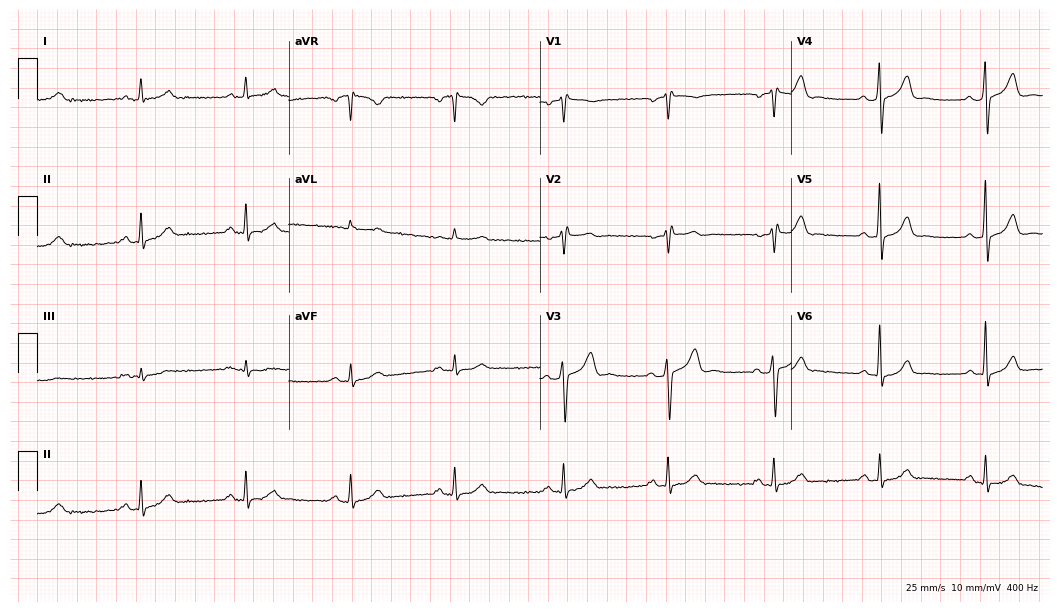
ECG — a 65-year-old man. Labelled as a normal ECG.